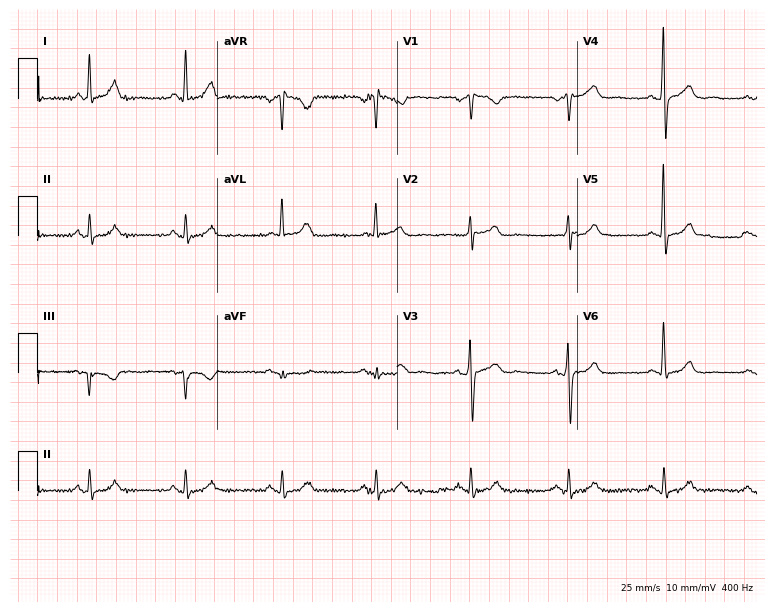
12-lead ECG (7.3-second recording at 400 Hz) from a 50-year-old male. Screened for six findings — first-degree AV block, right bundle branch block, left bundle branch block, sinus bradycardia, atrial fibrillation, sinus tachycardia — none is recorded. Findings outside these six are not listed.